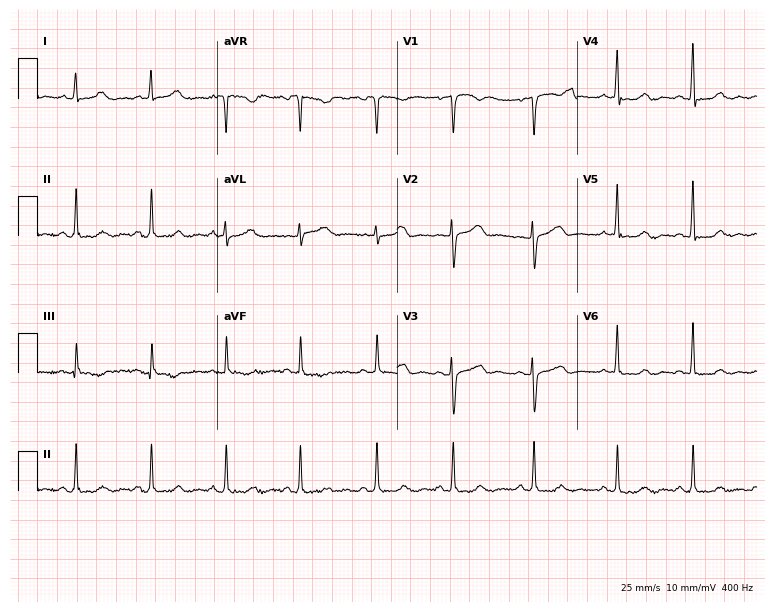
ECG — a female patient, 40 years old. Screened for six findings — first-degree AV block, right bundle branch block (RBBB), left bundle branch block (LBBB), sinus bradycardia, atrial fibrillation (AF), sinus tachycardia — none is recorded. Only these six findings were labelled.